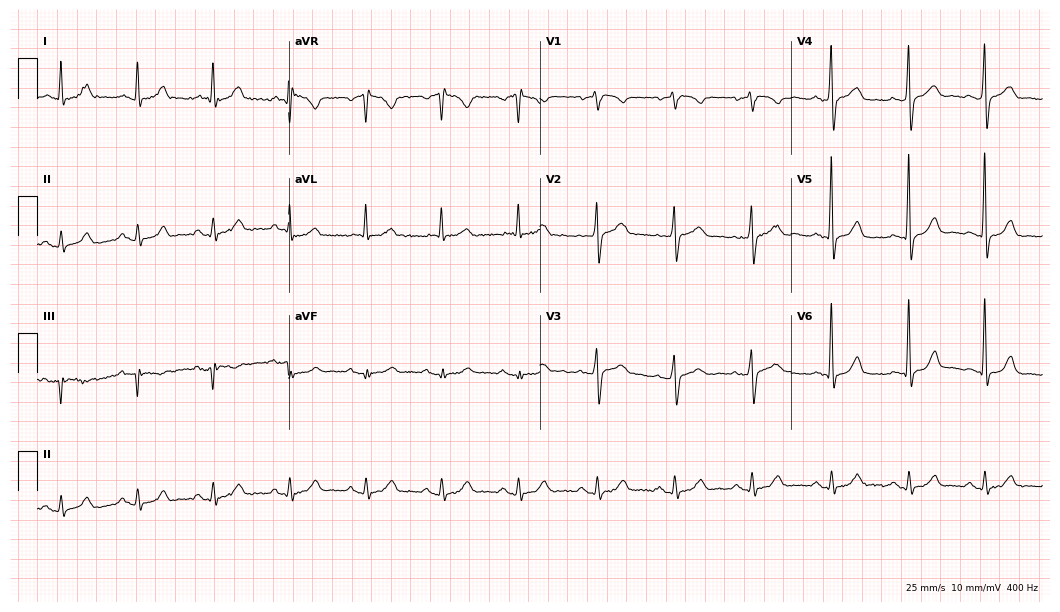
12-lead ECG from a 72-year-old man (10.2-second recording at 400 Hz). Recorded interpretation: within normal limits.